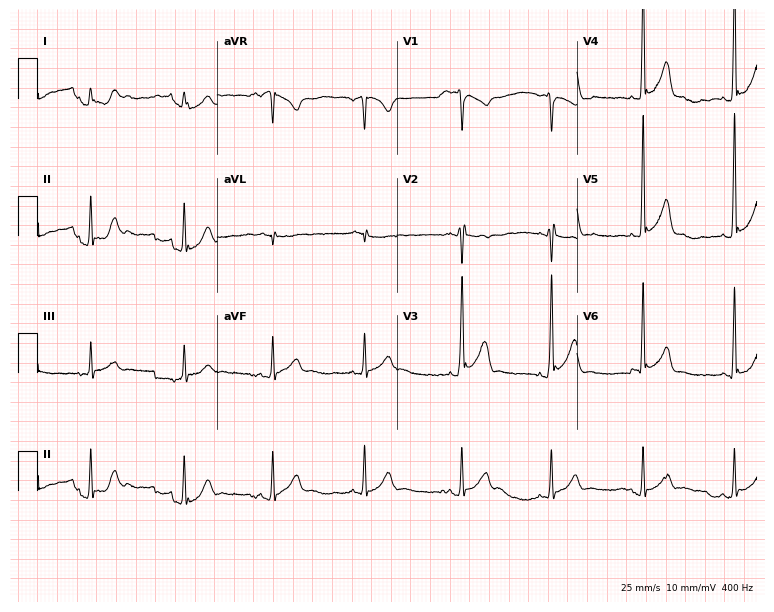
Standard 12-lead ECG recorded from a male patient, 29 years old (7.3-second recording at 400 Hz). None of these six findings is recorded: first-degree AV block, right bundle branch block, left bundle branch block, sinus bradycardia, atrial fibrillation, sinus tachycardia. Other findings, if any, are not listed.